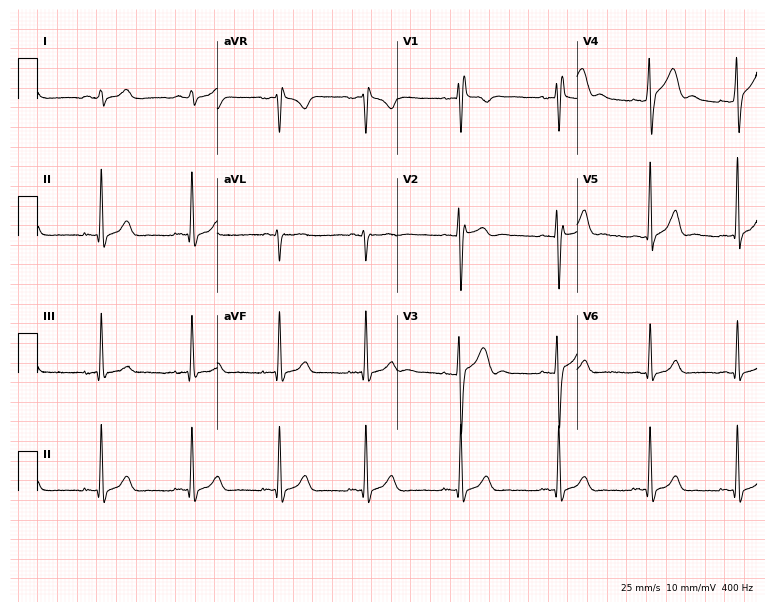
Electrocardiogram (7.3-second recording at 400 Hz), a 25-year-old male. Of the six screened findings (first-degree AV block, right bundle branch block, left bundle branch block, sinus bradycardia, atrial fibrillation, sinus tachycardia), none is recorded.